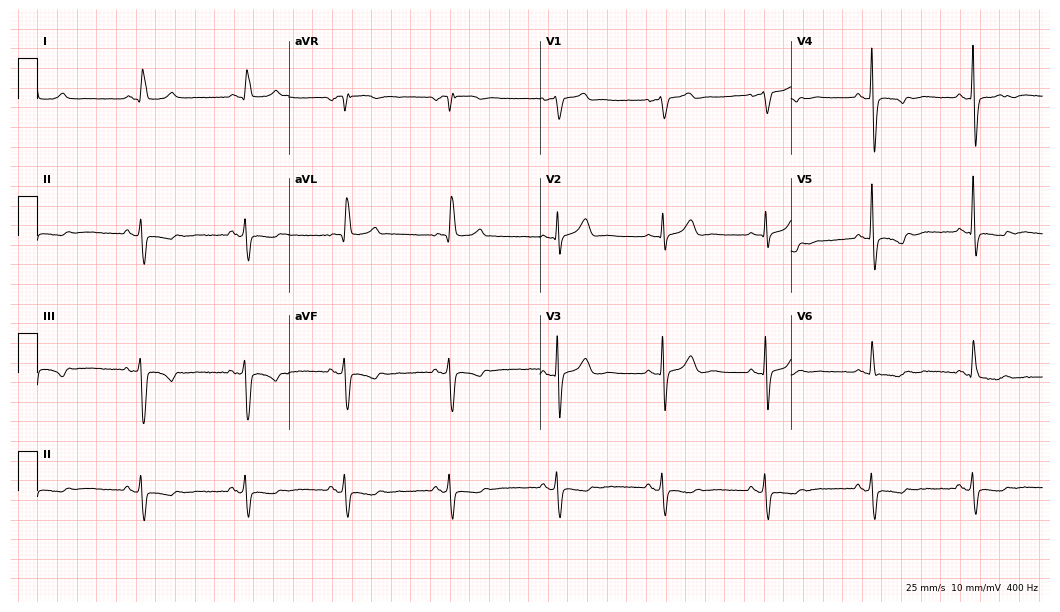
ECG (10.2-second recording at 400 Hz) — a man, 83 years old. Screened for six findings — first-degree AV block, right bundle branch block, left bundle branch block, sinus bradycardia, atrial fibrillation, sinus tachycardia — none is recorded. Other findings, if any, are not listed.